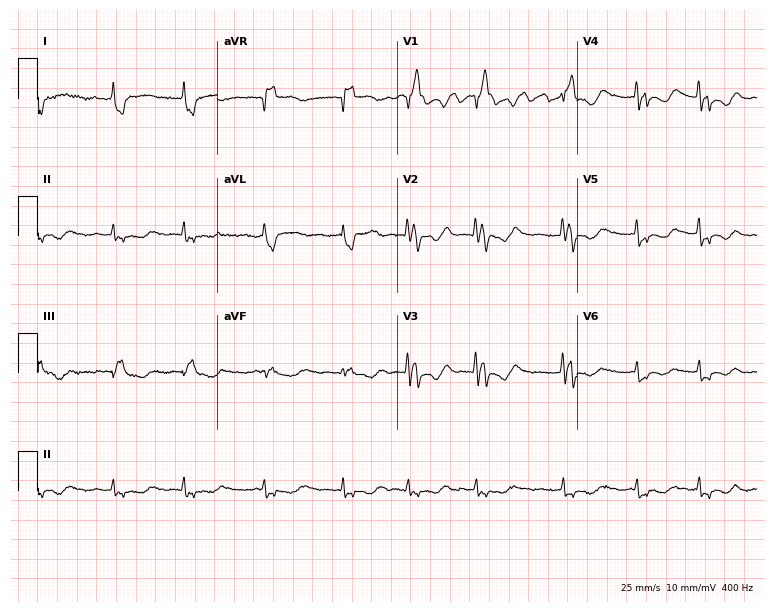
Electrocardiogram (7.3-second recording at 400 Hz), a 59-year-old female. Of the six screened findings (first-degree AV block, right bundle branch block (RBBB), left bundle branch block (LBBB), sinus bradycardia, atrial fibrillation (AF), sinus tachycardia), none is recorded.